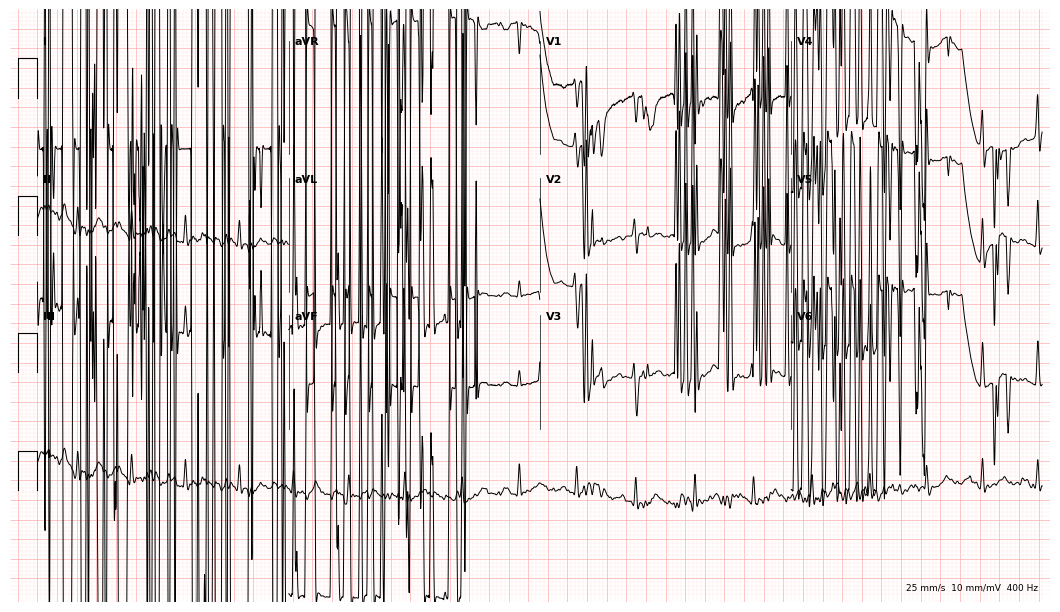
Electrocardiogram (10.2-second recording at 400 Hz), a woman, 53 years old. Of the six screened findings (first-degree AV block, right bundle branch block (RBBB), left bundle branch block (LBBB), sinus bradycardia, atrial fibrillation (AF), sinus tachycardia), none is recorded. Other findings, if any, are not listed.